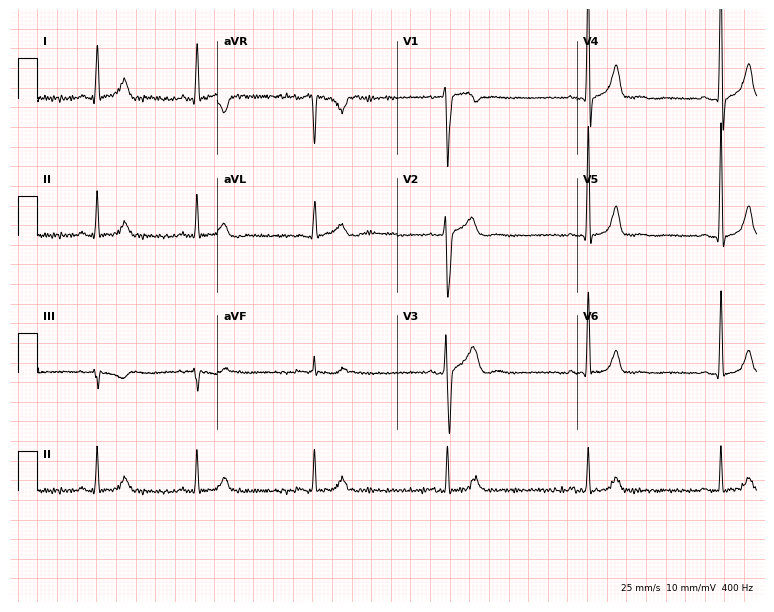
Standard 12-lead ECG recorded from a 44-year-old male patient. The tracing shows sinus bradycardia (a sinus rate of 50 beats per minute or less).